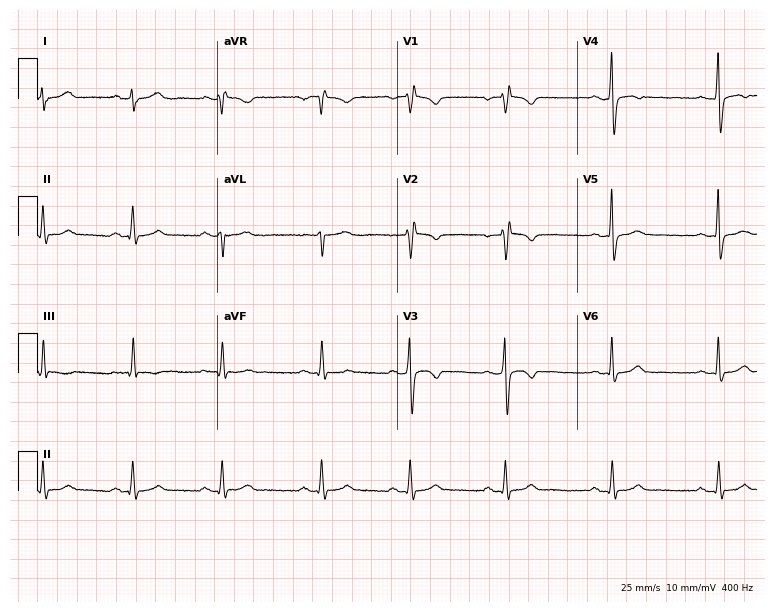
Electrocardiogram (7.3-second recording at 400 Hz), a woman, 54 years old. Of the six screened findings (first-degree AV block, right bundle branch block, left bundle branch block, sinus bradycardia, atrial fibrillation, sinus tachycardia), none is recorded. Findings outside these six are not listed.